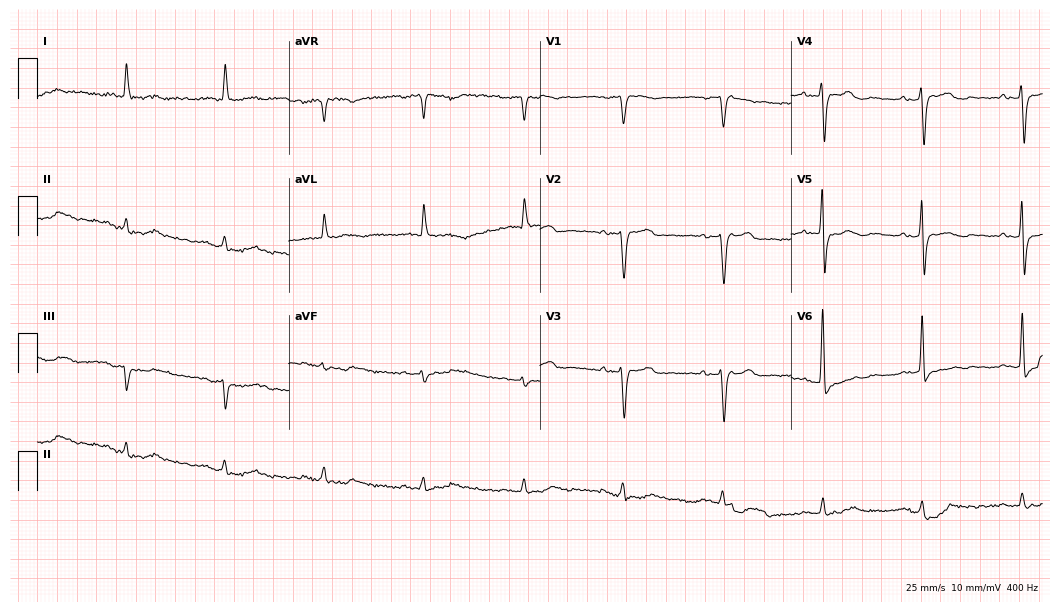
Standard 12-lead ECG recorded from a male patient, 80 years old. Read as a normal ECG.